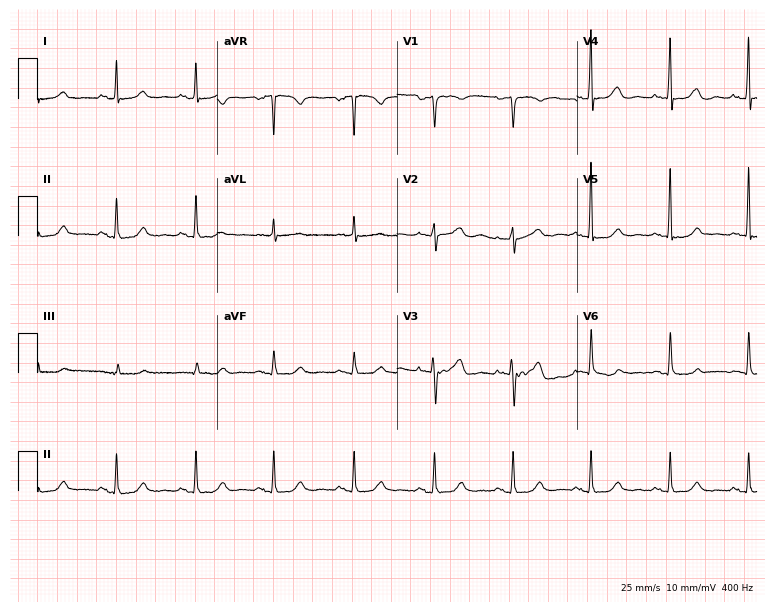
12-lead ECG from an 83-year-old female patient. Screened for six findings — first-degree AV block, right bundle branch block, left bundle branch block, sinus bradycardia, atrial fibrillation, sinus tachycardia — none is recorded. Findings outside these six are not listed.